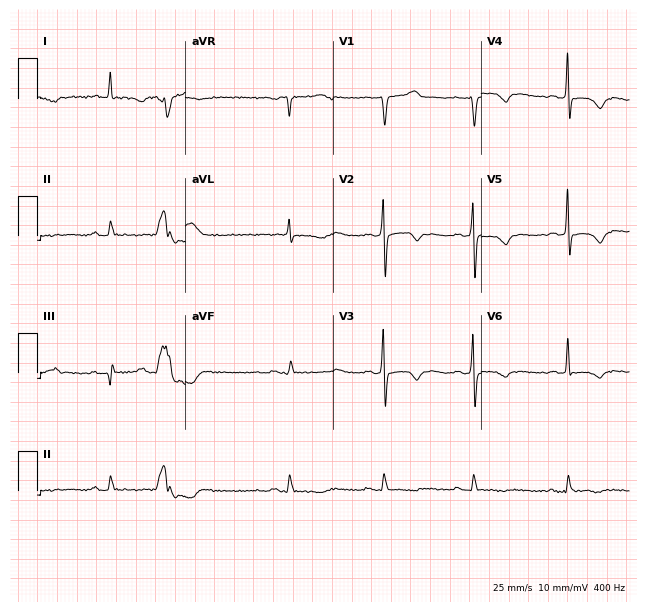
ECG (6-second recording at 400 Hz) — a man, 69 years old. Screened for six findings — first-degree AV block, right bundle branch block, left bundle branch block, sinus bradycardia, atrial fibrillation, sinus tachycardia — none is recorded.